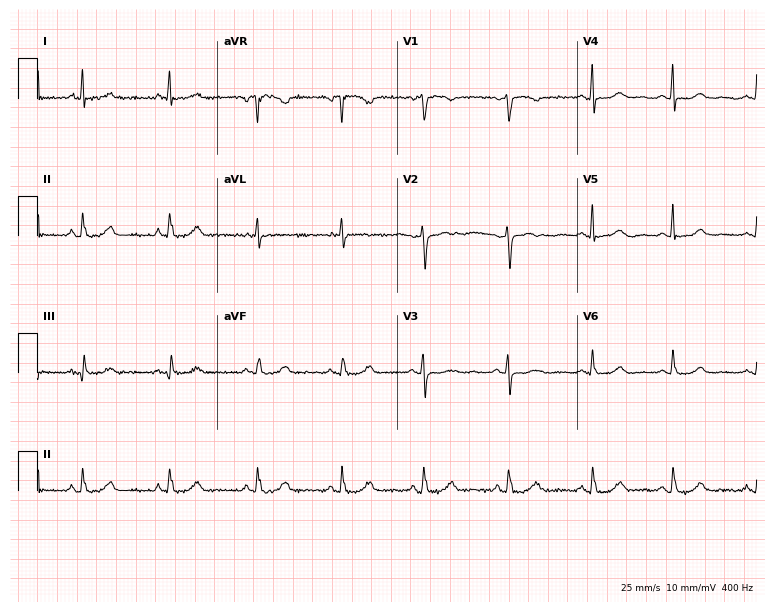
Electrocardiogram, a 62-year-old female. Of the six screened findings (first-degree AV block, right bundle branch block, left bundle branch block, sinus bradycardia, atrial fibrillation, sinus tachycardia), none is recorded. Other findings, if any, are not listed.